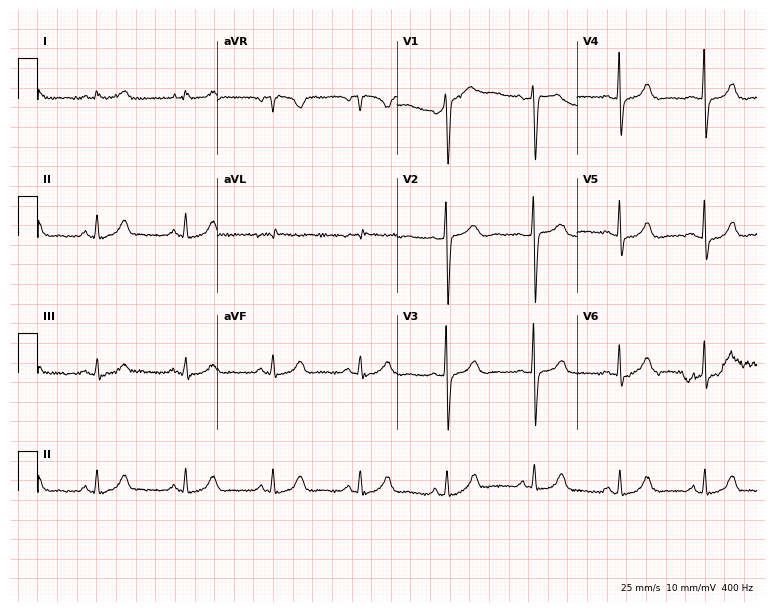
Electrocardiogram, a woman, 52 years old. Overall reading on record: normal ECG.